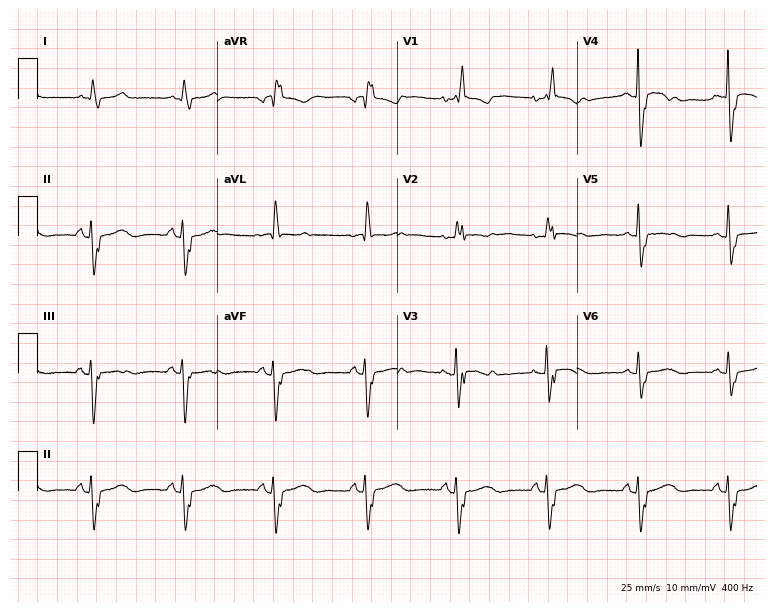
Standard 12-lead ECG recorded from a female patient, 83 years old (7.3-second recording at 400 Hz). The tracing shows right bundle branch block (RBBB).